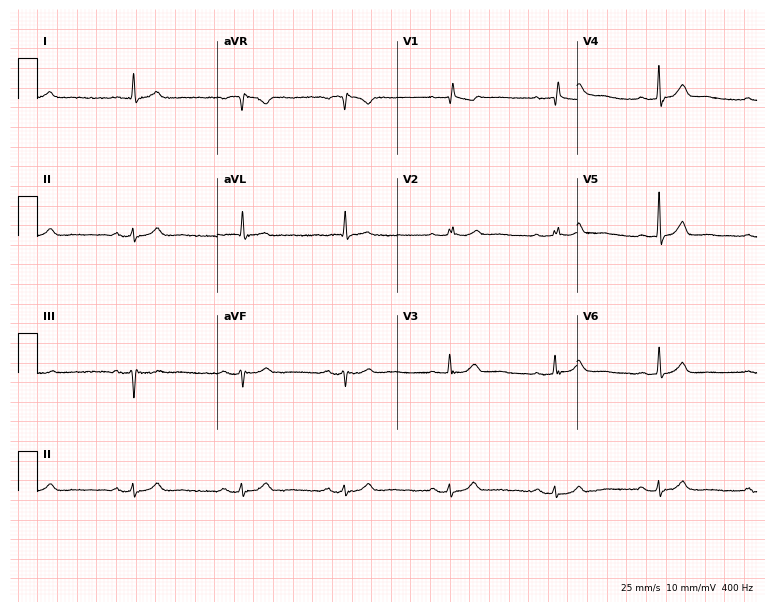
Resting 12-lead electrocardiogram. Patient: an 84-year-old female. None of these six findings is recorded: first-degree AV block, right bundle branch block (RBBB), left bundle branch block (LBBB), sinus bradycardia, atrial fibrillation (AF), sinus tachycardia. Other findings, if any, are not listed.